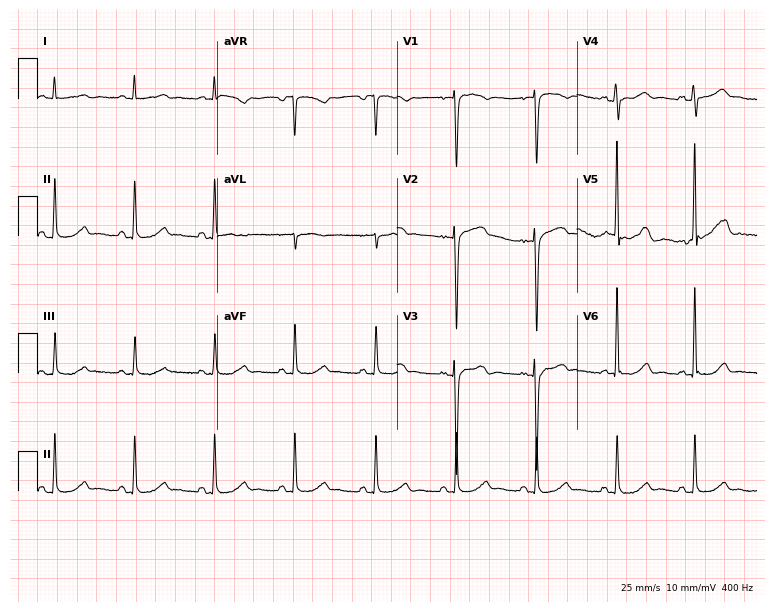
Resting 12-lead electrocardiogram (7.3-second recording at 400 Hz). Patient: a 39-year-old woman. None of these six findings is recorded: first-degree AV block, right bundle branch block, left bundle branch block, sinus bradycardia, atrial fibrillation, sinus tachycardia. Only these six findings were labelled.